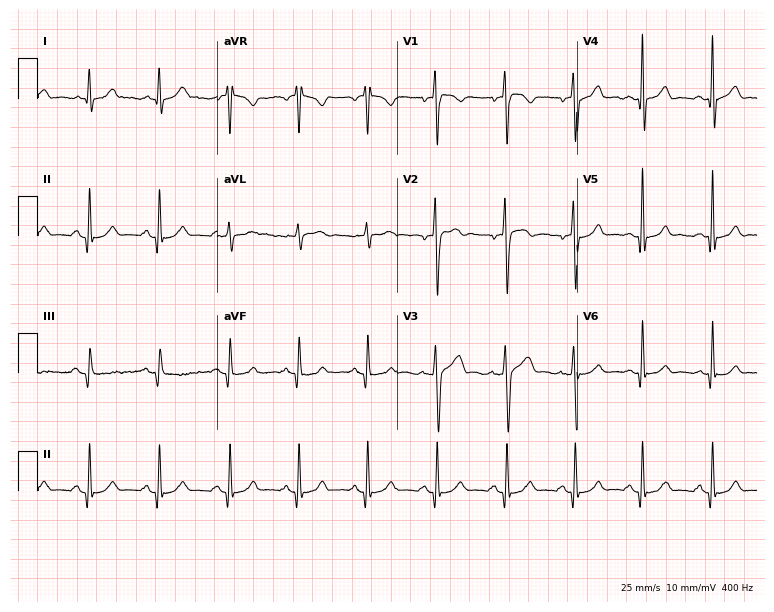
Resting 12-lead electrocardiogram. Patient: a male, 27 years old. Read as a normal ECG.